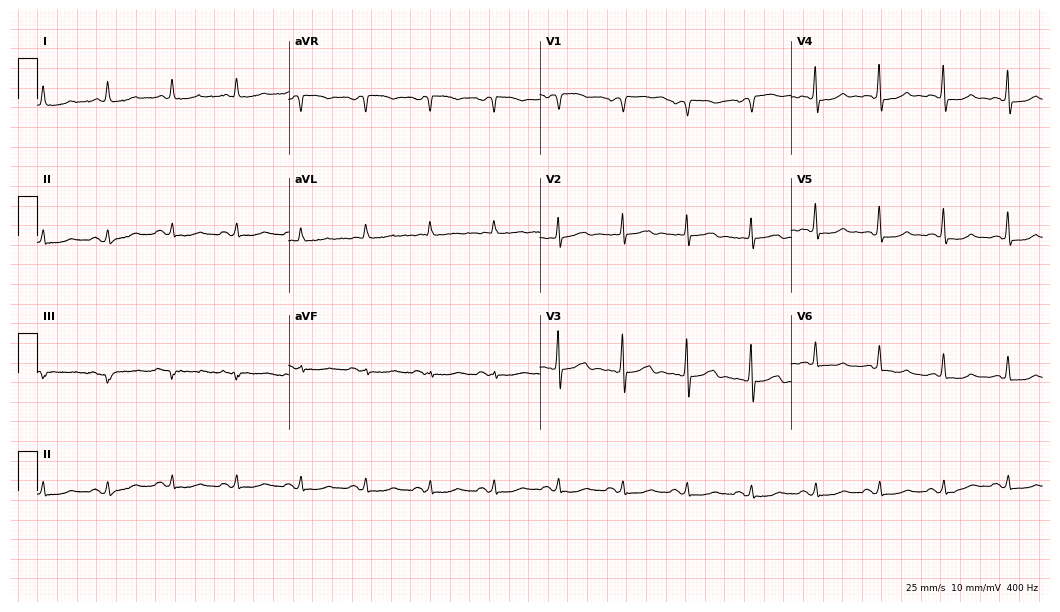
Electrocardiogram (10.2-second recording at 400 Hz), a male patient, 84 years old. Of the six screened findings (first-degree AV block, right bundle branch block, left bundle branch block, sinus bradycardia, atrial fibrillation, sinus tachycardia), none is recorded.